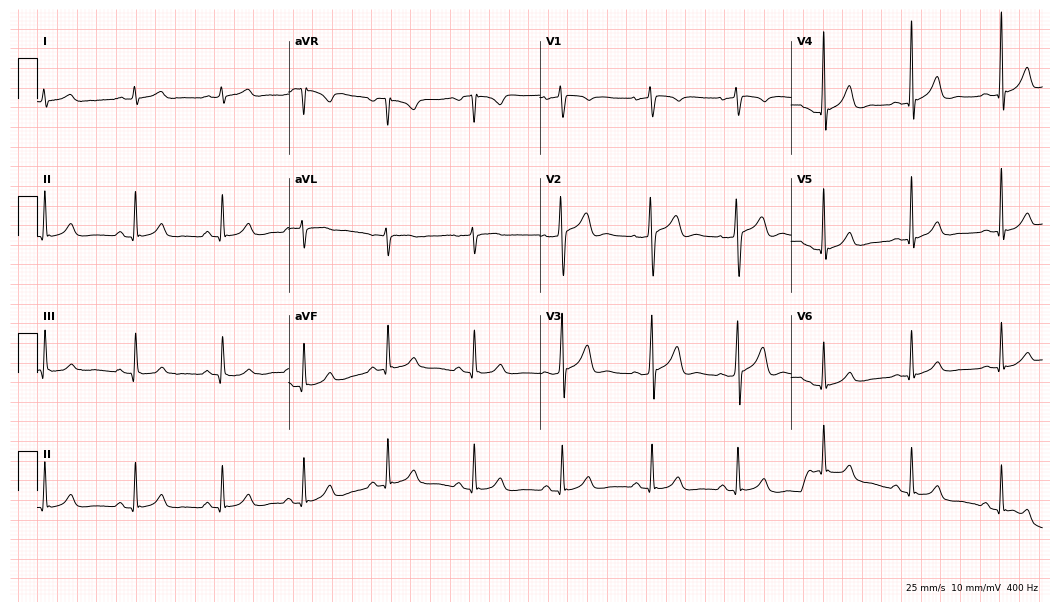
Resting 12-lead electrocardiogram. Patient: a man, 31 years old. Read as a normal ECG.